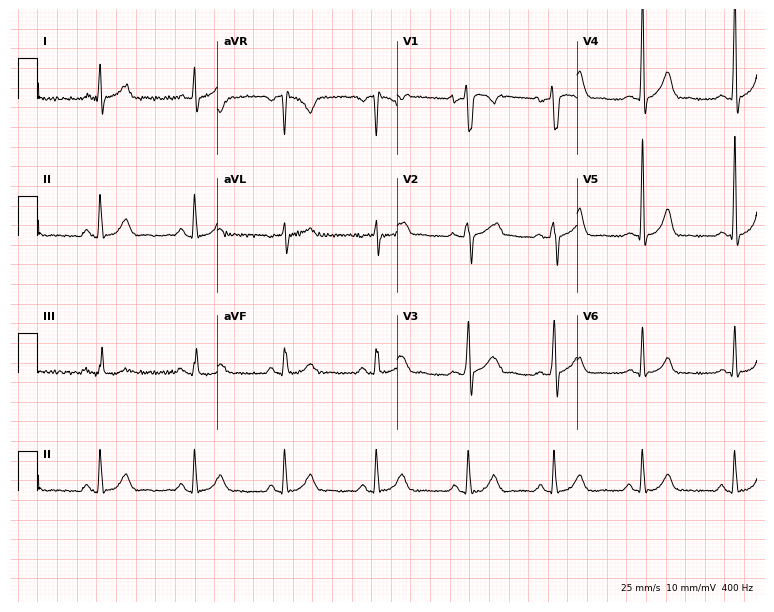
12-lead ECG (7.3-second recording at 400 Hz) from a male, 27 years old. Screened for six findings — first-degree AV block, right bundle branch block (RBBB), left bundle branch block (LBBB), sinus bradycardia, atrial fibrillation (AF), sinus tachycardia — none is recorded.